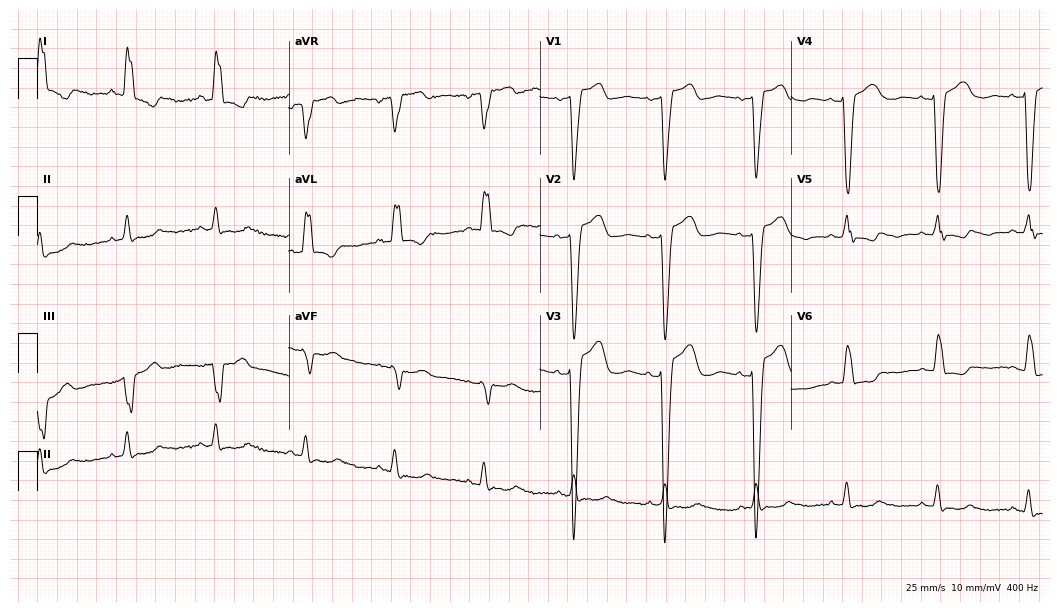
12-lead ECG from a female patient, 67 years old. Findings include left bundle branch block.